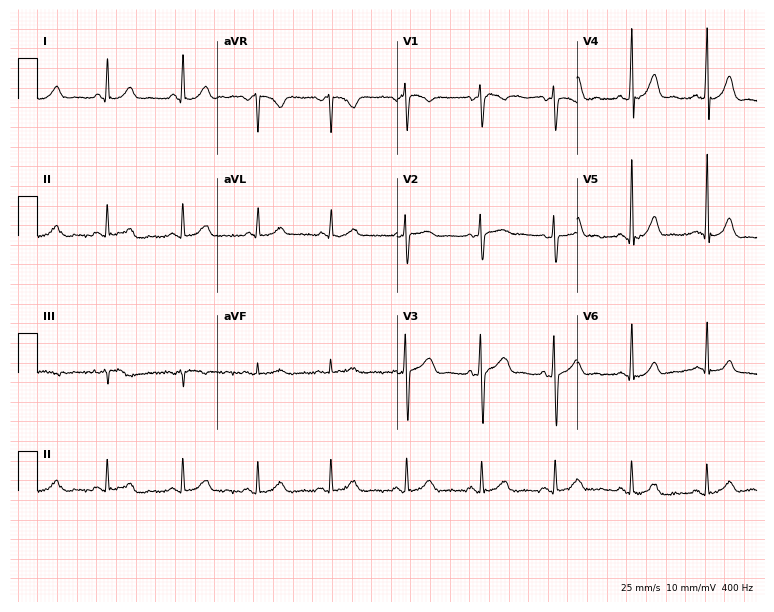
12-lead ECG from a 50-year-old female. Labelled as a normal ECG.